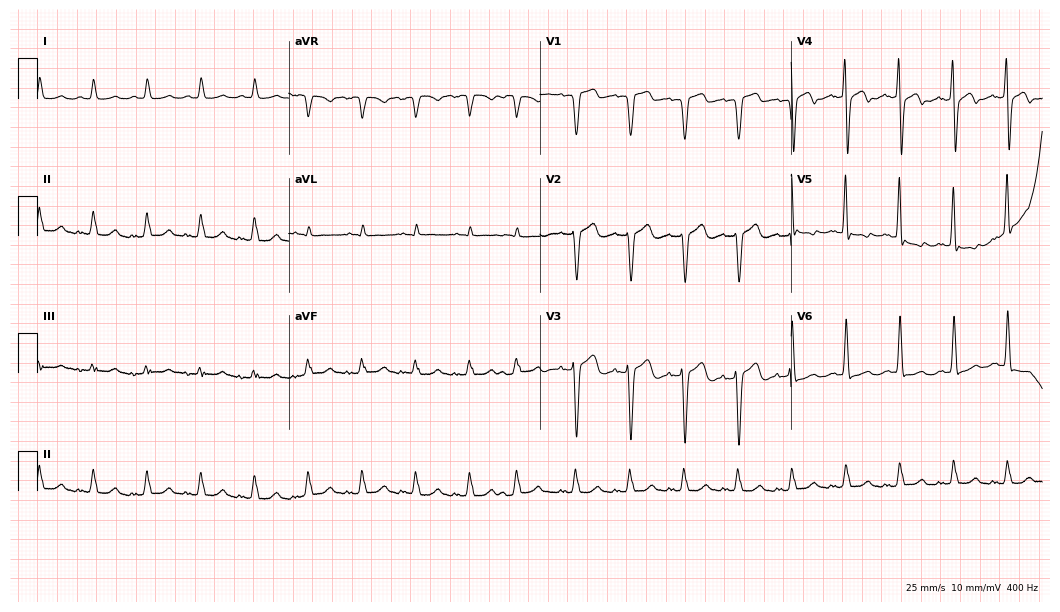
Standard 12-lead ECG recorded from an 84-year-old man. The tracing shows sinus tachycardia (a sinus rate of 100 beats per minute or more).